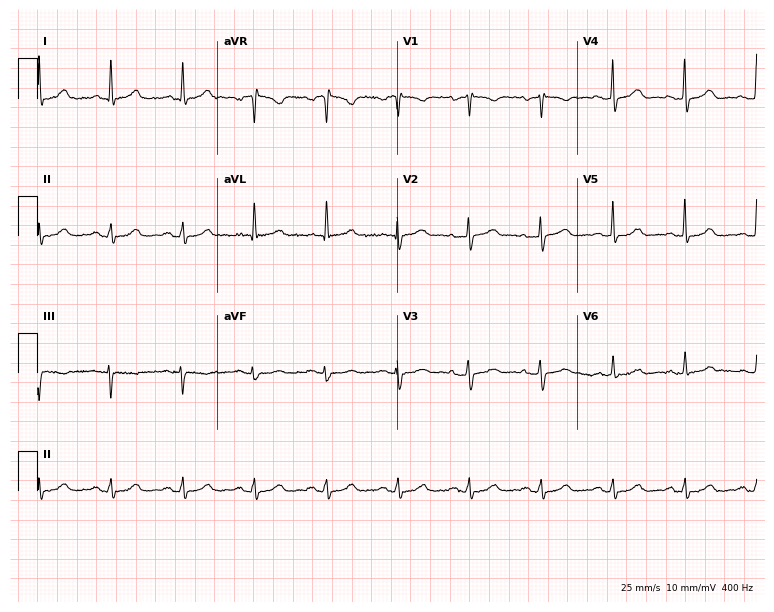
Standard 12-lead ECG recorded from a 67-year-old female (7.3-second recording at 400 Hz). Read as a normal ECG.